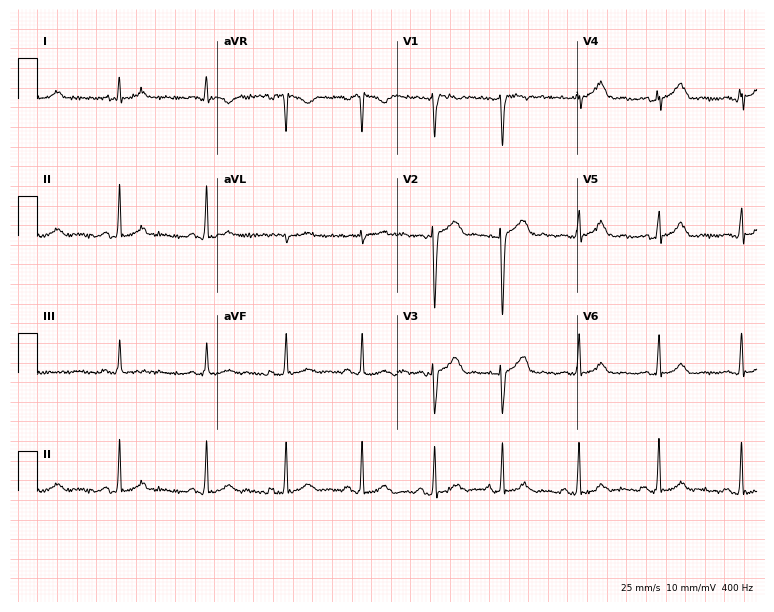
ECG — a female patient, 17 years old. Screened for six findings — first-degree AV block, right bundle branch block, left bundle branch block, sinus bradycardia, atrial fibrillation, sinus tachycardia — none is recorded. Only these six findings were labelled.